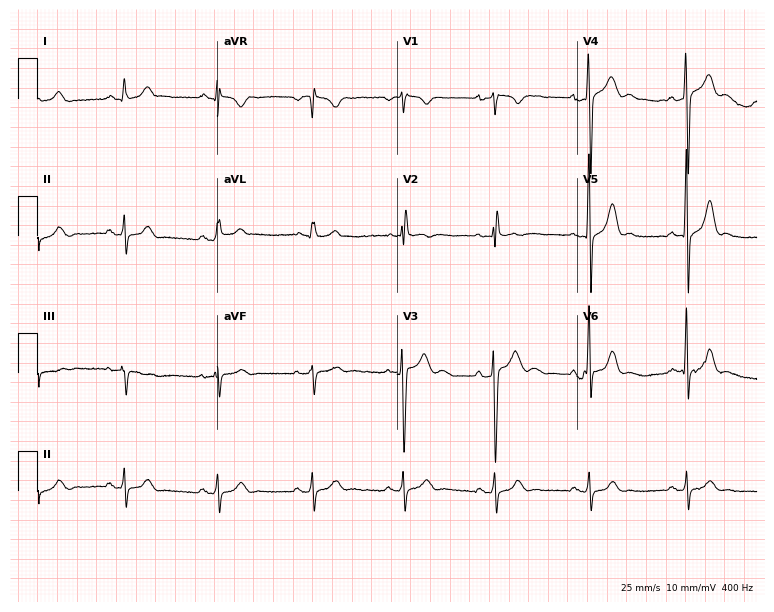
Resting 12-lead electrocardiogram (7.3-second recording at 400 Hz). Patient: a 28-year-old male. Read as a normal ECG.